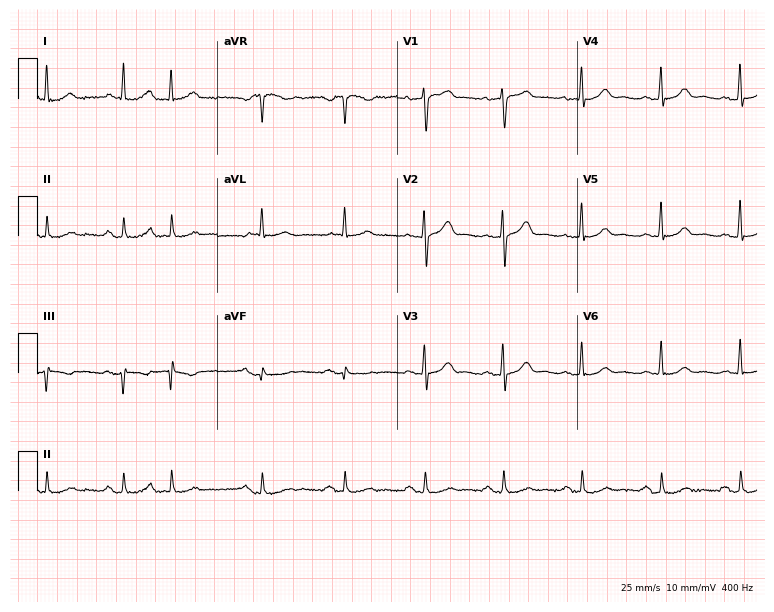
Standard 12-lead ECG recorded from a man, 59 years old. None of these six findings is recorded: first-degree AV block, right bundle branch block, left bundle branch block, sinus bradycardia, atrial fibrillation, sinus tachycardia. Findings outside these six are not listed.